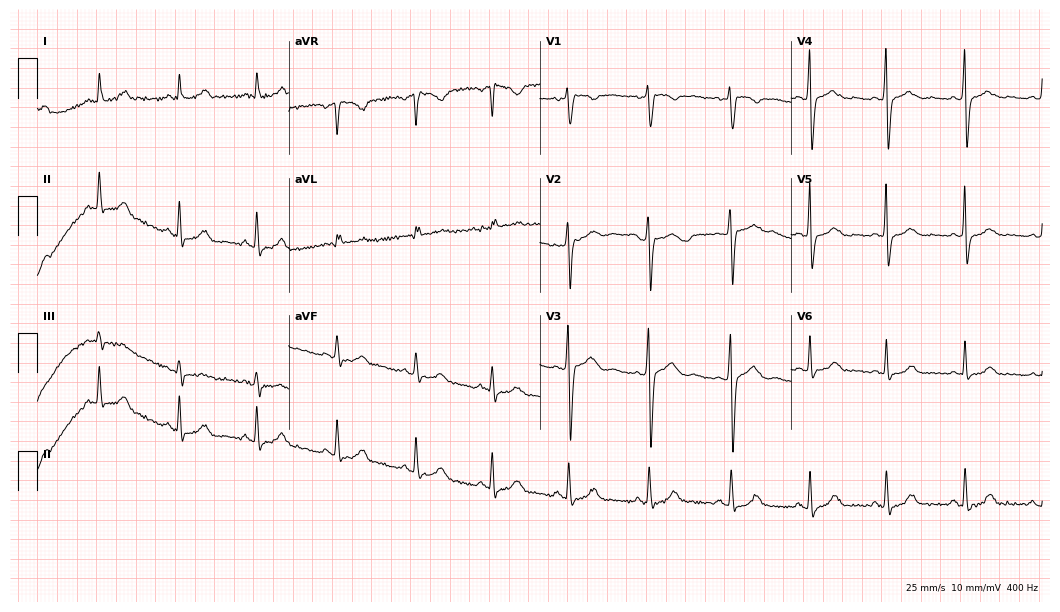
Resting 12-lead electrocardiogram. Patient: a 38-year-old female. Read as a normal ECG.